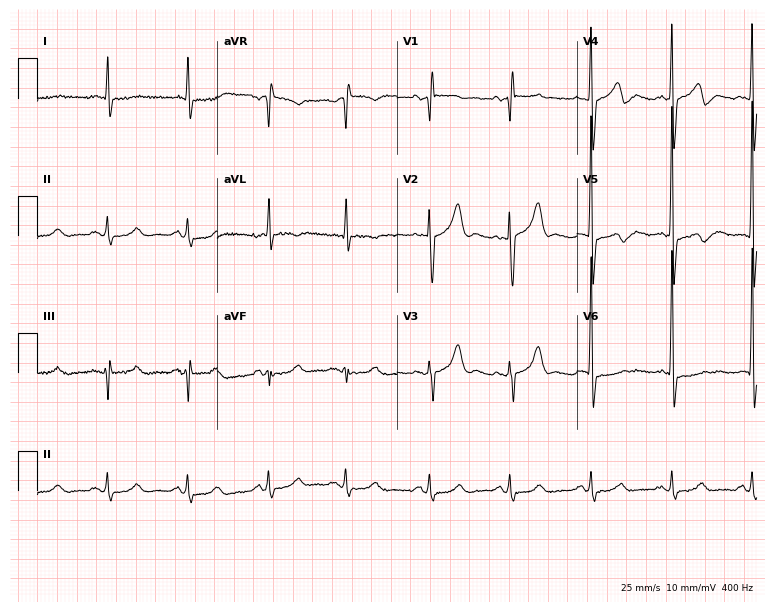
Electrocardiogram (7.3-second recording at 400 Hz), a 70-year-old male patient. Of the six screened findings (first-degree AV block, right bundle branch block (RBBB), left bundle branch block (LBBB), sinus bradycardia, atrial fibrillation (AF), sinus tachycardia), none is recorded.